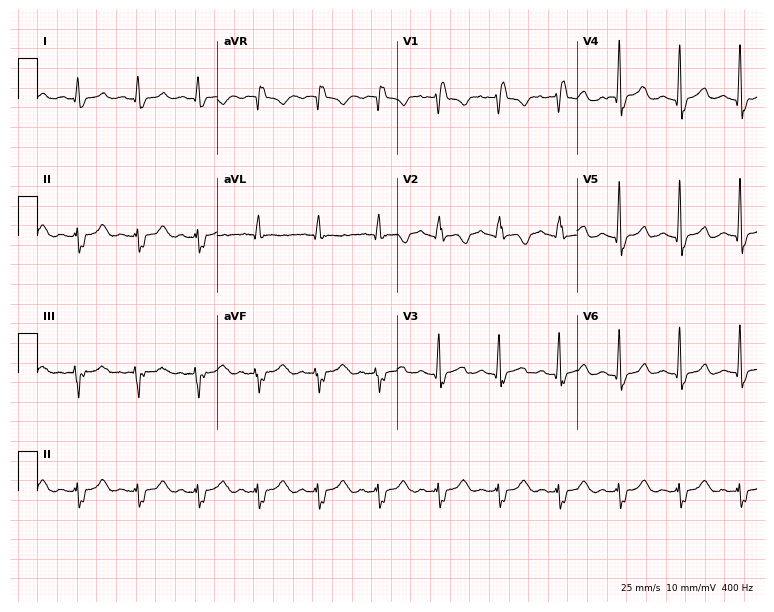
Electrocardiogram (7.3-second recording at 400 Hz), a 36-year-old woman. Interpretation includes right bundle branch block.